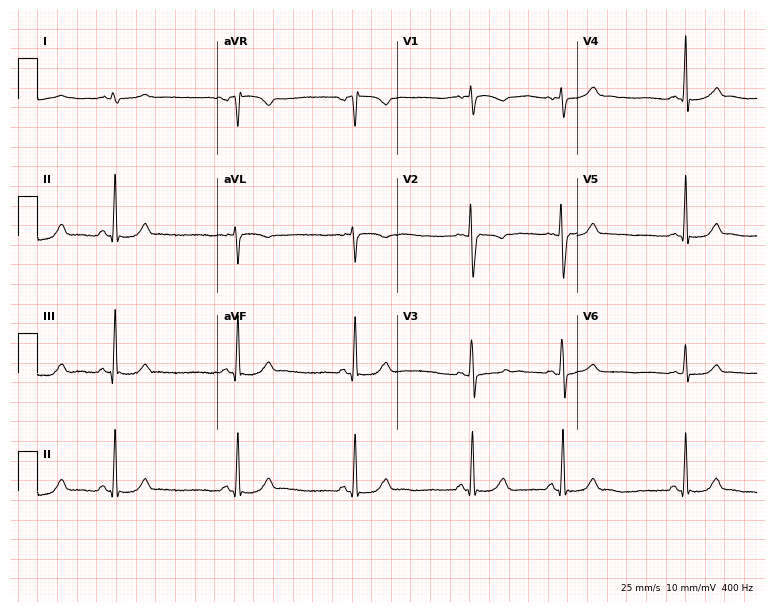
12-lead ECG from a 20-year-old woman (7.3-second recording at 400 Hz). Recorded interpretation: within normal limits.